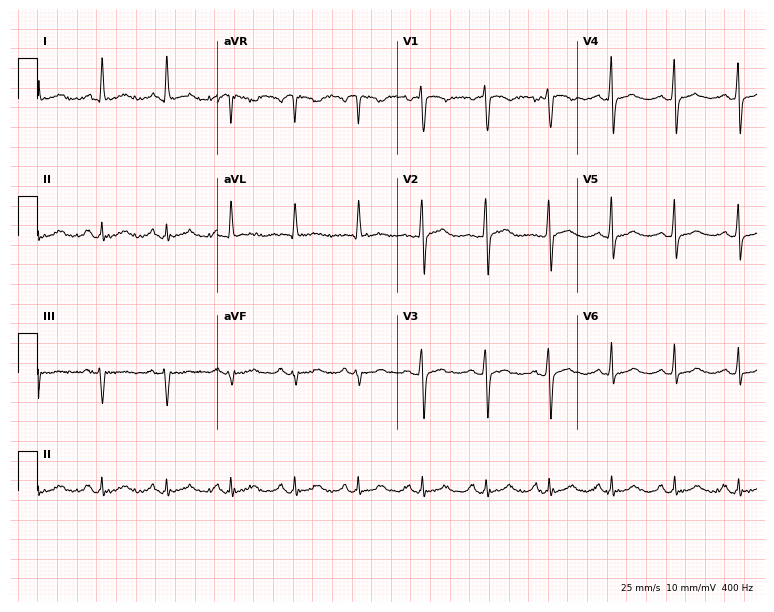
12-lead ECG from a female, 63 years old. Recorded interpretation: within normal limits.